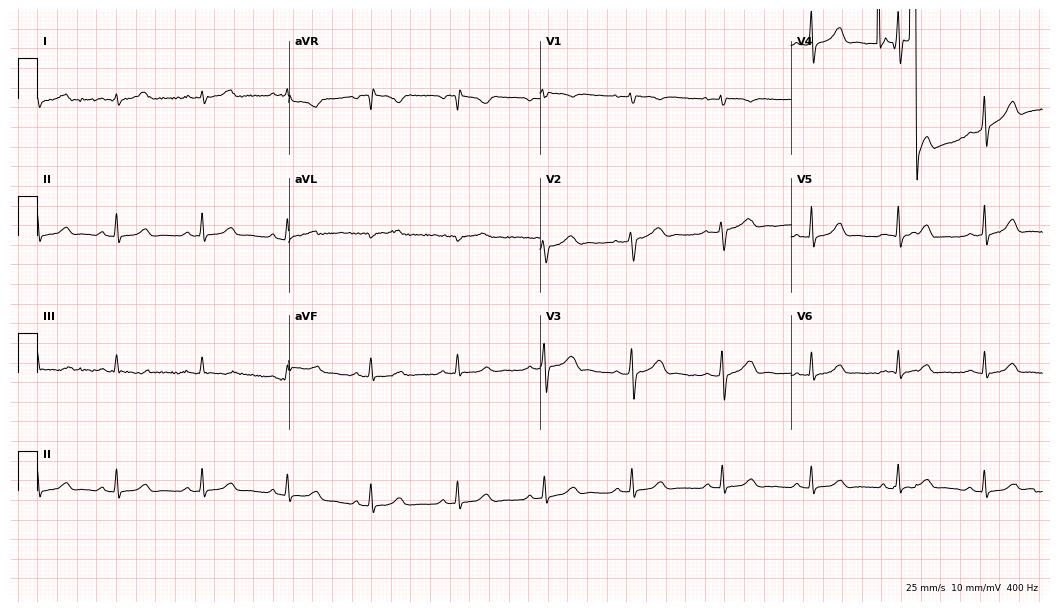
12-lead ECG from a woman, 39 years old (10.2-second recording at 400 Hz). No first-degree AV block, right bundle branch block, left bundle branch block, sinus bradycardia, atrial fibrillation or sinus tachycardia recorded for this tracing.